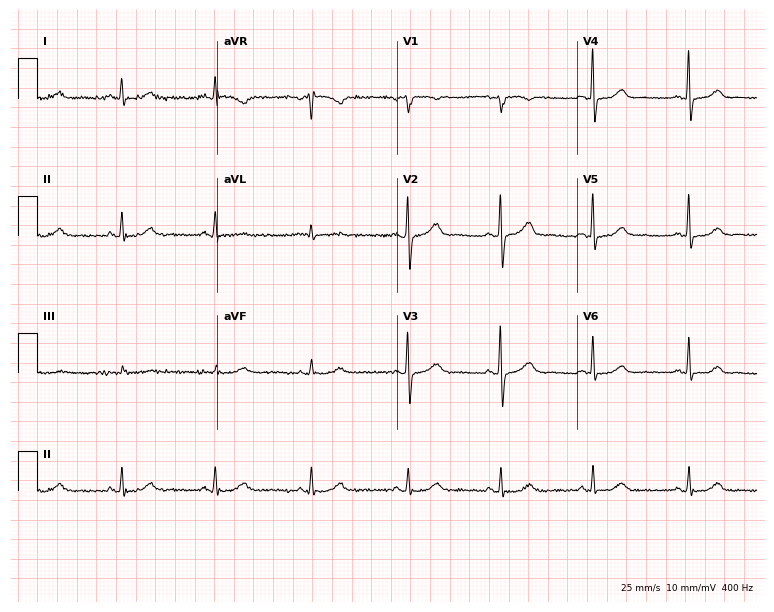
12-lead ECG (7.3-second recording at 400 Hz) from a female patient, 57 years old. Labelled as a normal ECG.